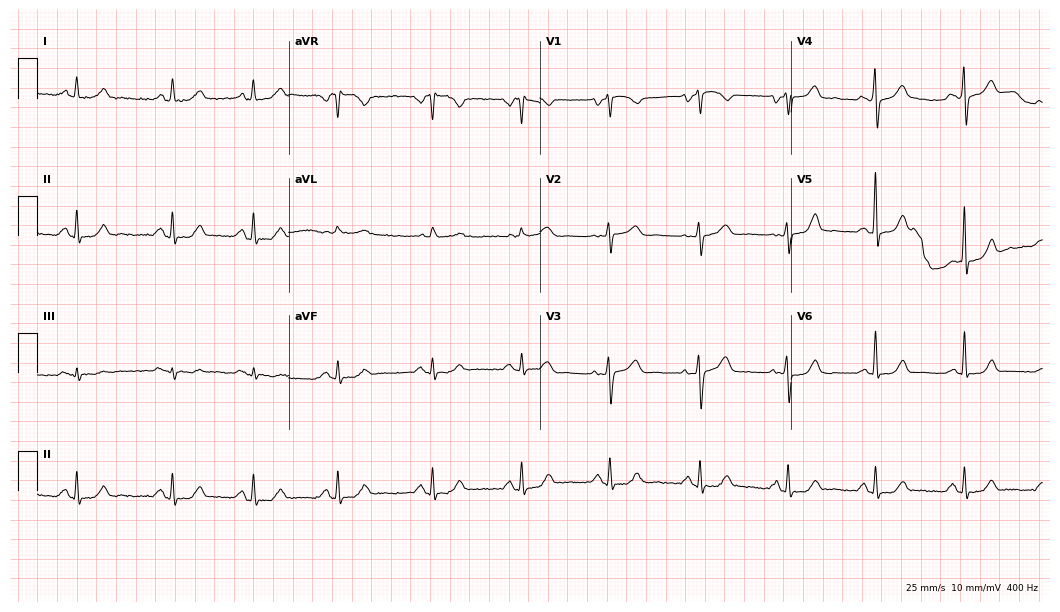
Resting 12-lead electrocardiogram. Patient: a 62-year-old woman. Read as a normal ECG.